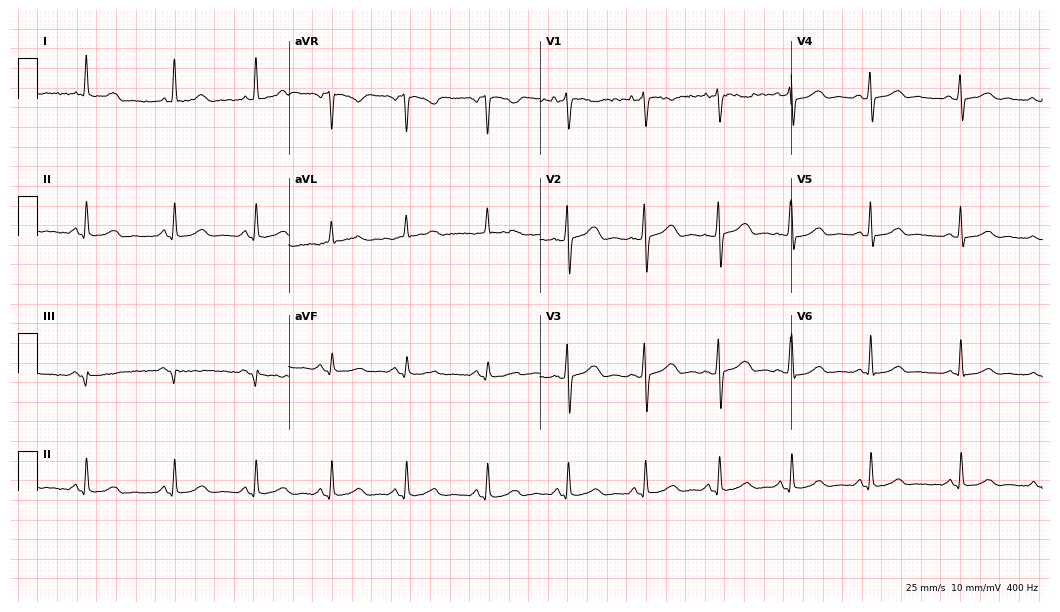
Standard 12-lead ECG recorded from a 42-year-old female. Read as a normal ECG.